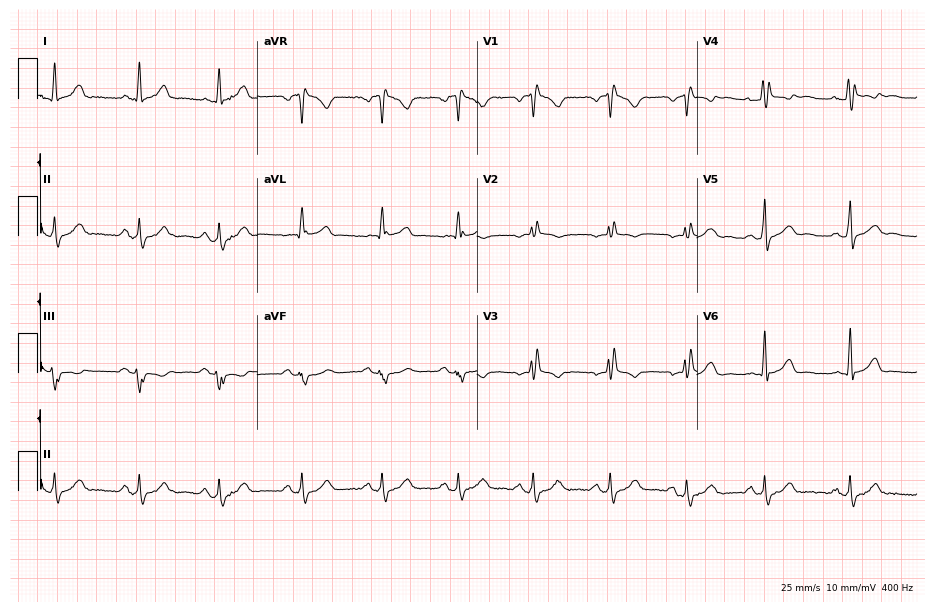
12-lead ECG from a 29-year-old woman (9-second recording at 400 Hz). Shows right bundle branch block.